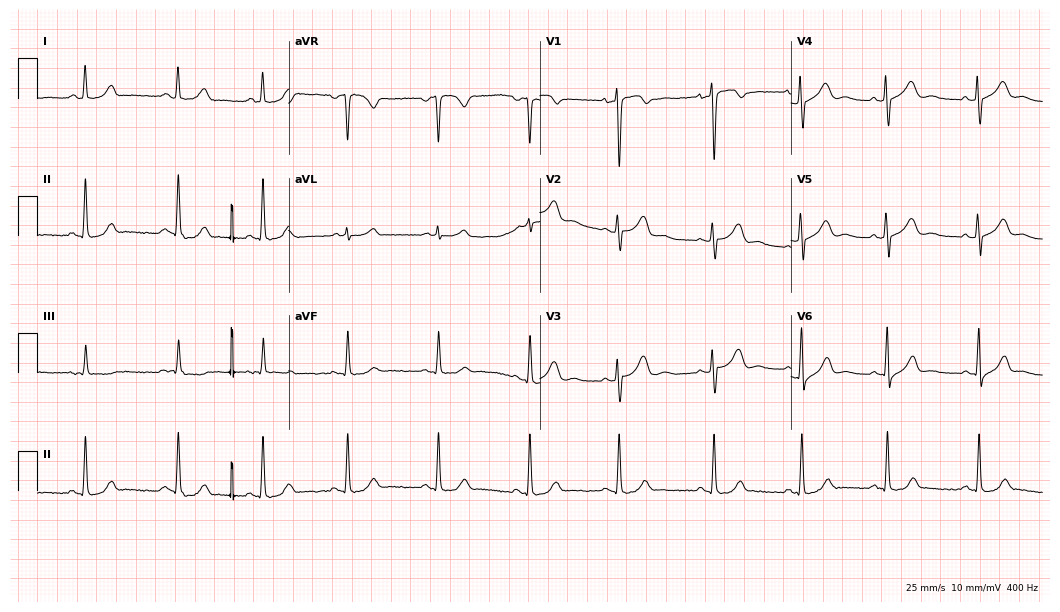
Electrocardiogram (10.2-second recording at 400 Hz), a female patient, 30 years old. Overall reading on record: normal ECG.